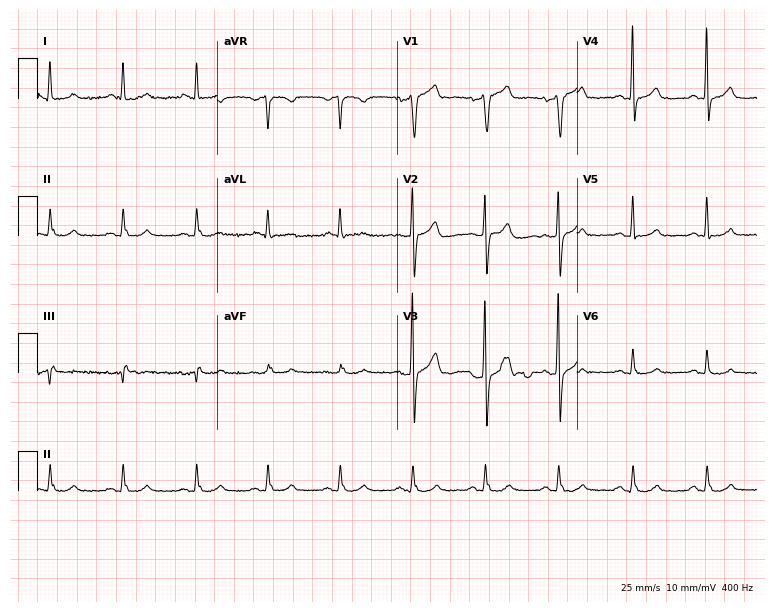
ECG — a 59-year-old man. Labelled as a normal ECG.